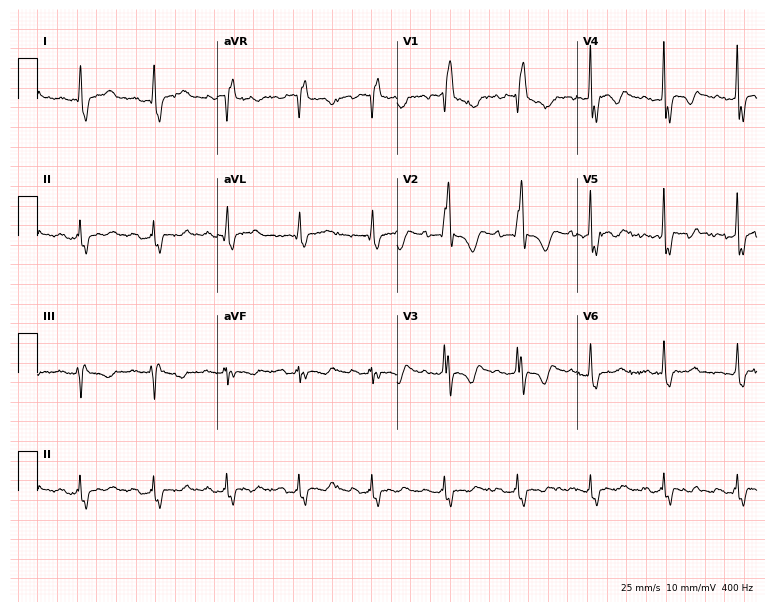
12-lead ECG (7.3-second recording at 400 Hz) from a male, 35 years old. Findings include right bundle branch block.